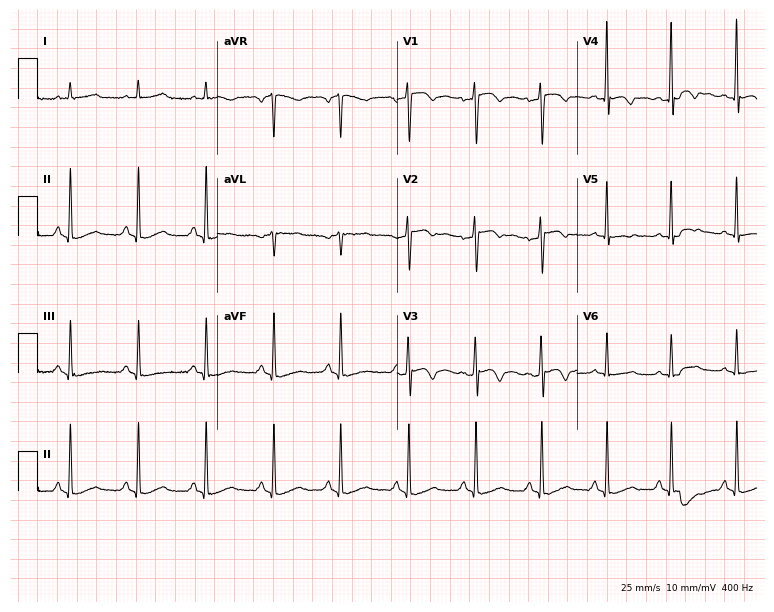
12-lead ECG from a 51-year-old female. No first-degree AV block, right bundle branch block (RBBB), left bundle branch block (LBBB), sinus bradycardia, atrial fibrillation (AF) or sinus tachycardia recorded for this tracing. Findings outside these six are not listed.